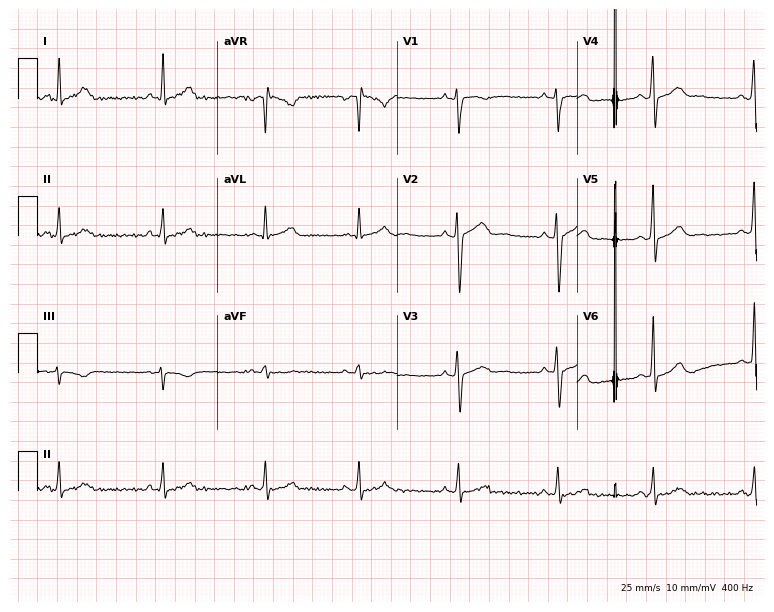
Standard 12-lead ECG recorded from a 28-year-old male patient. None of these six findings is recorded: first-degree AV block, right bundle branch block (RBBB), left bundle branch block (LBBB), sinus bradycardia, atrial fibrillation (AF), sinus tachycardia.